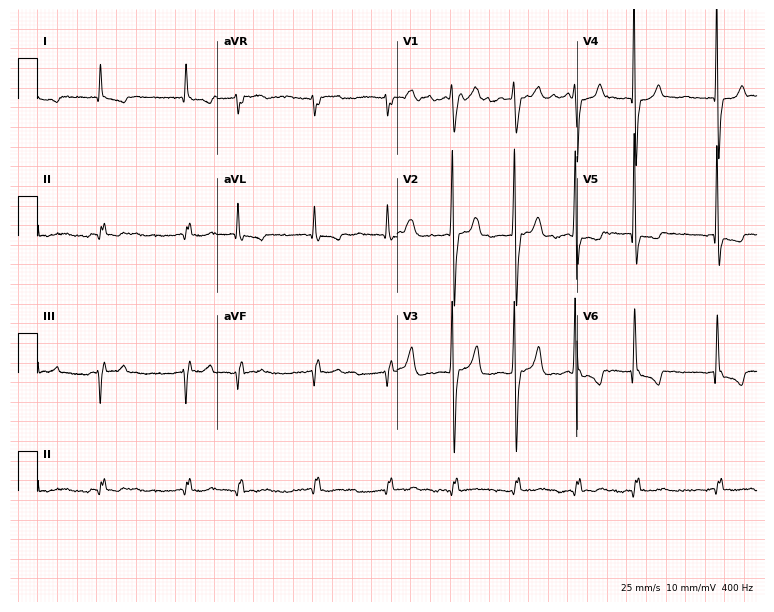
Standard 12-lead ECG recorded from a 74-year-old male (7.3-second recording at 400 Hz). The tracing shows atrial fibrillation.